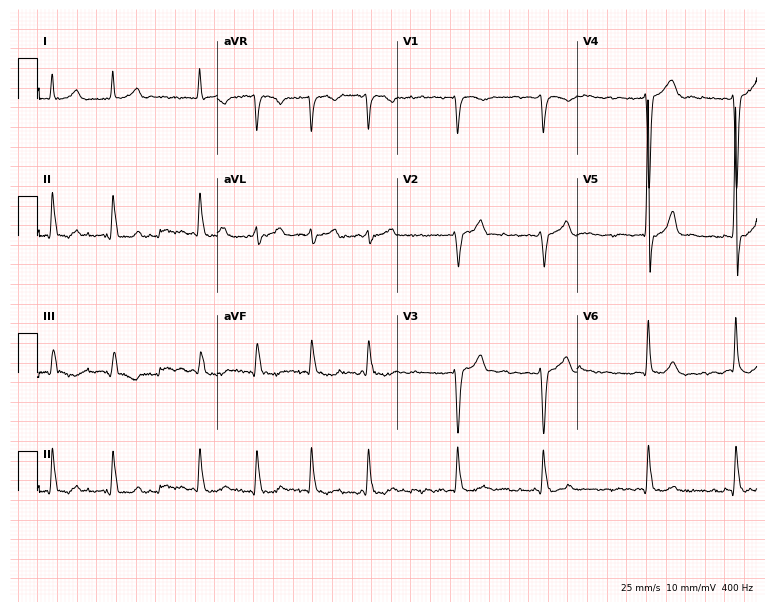
Resting 12-lead electrocardiogram (7.3-second recording at 400 Hz). Patient: a 67-year-old male. The tracing shows atrial fibrillation (AF).